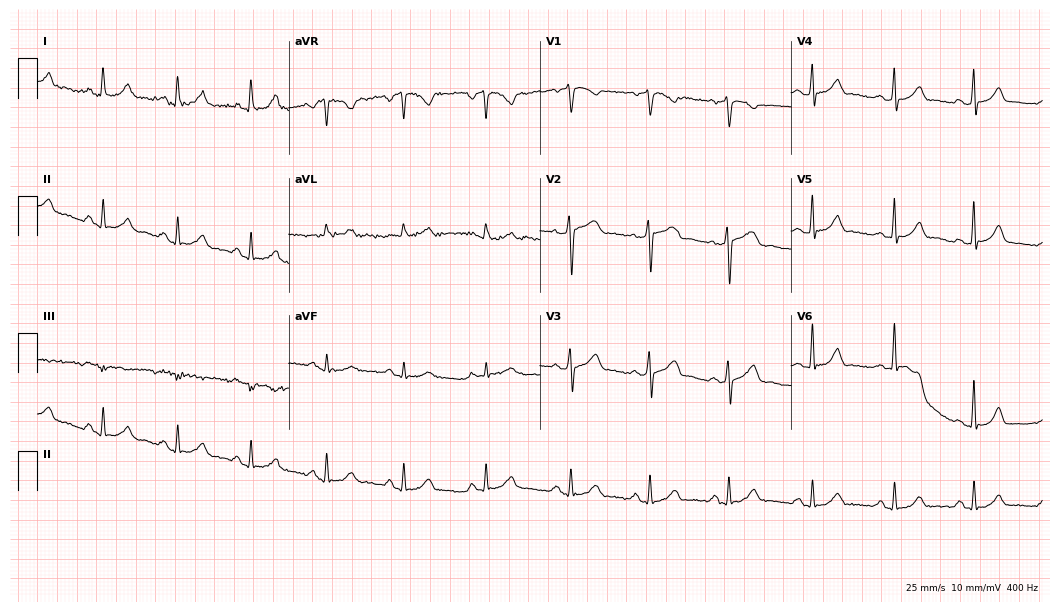
12-lead ECG from a male patient, 37 years old. Labelled as a normal ECG.